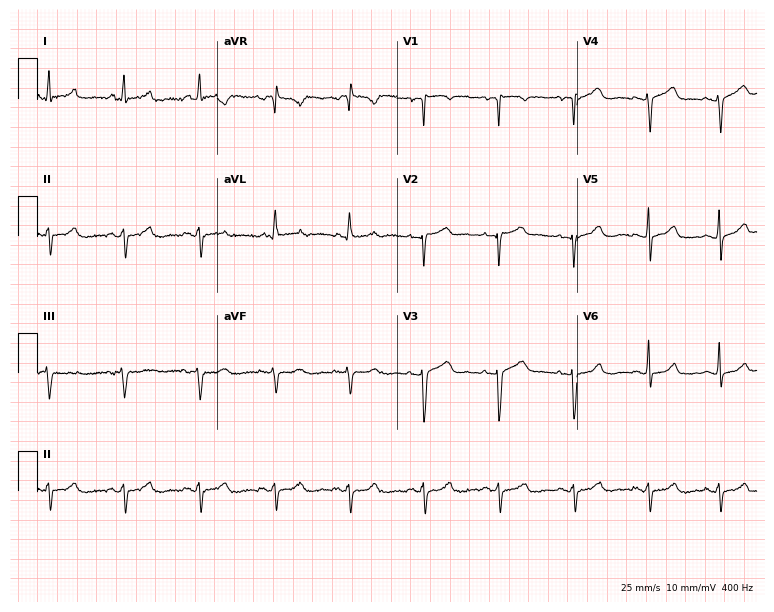
ECG — a female, 59 years old. Screened for six findings — first-degree AV block, right bundle branch block (RBBB), left bundle branch block (LBBB), sinus bradycardia, atrial fibrillation (AF), sinus tachycardia — none is recorded. Other findings, if any, are not listed.